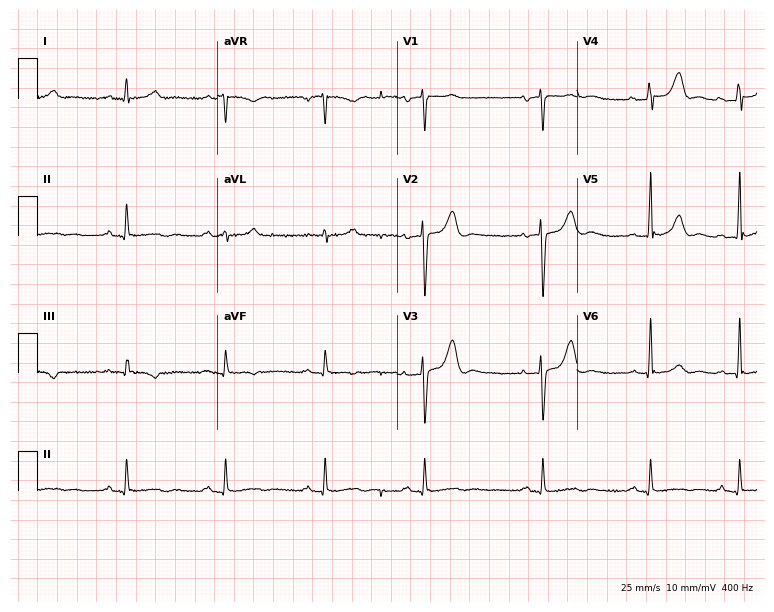
Standard 12-lead ECG recorded from a female, 57 years old. Read as a normal ECG.